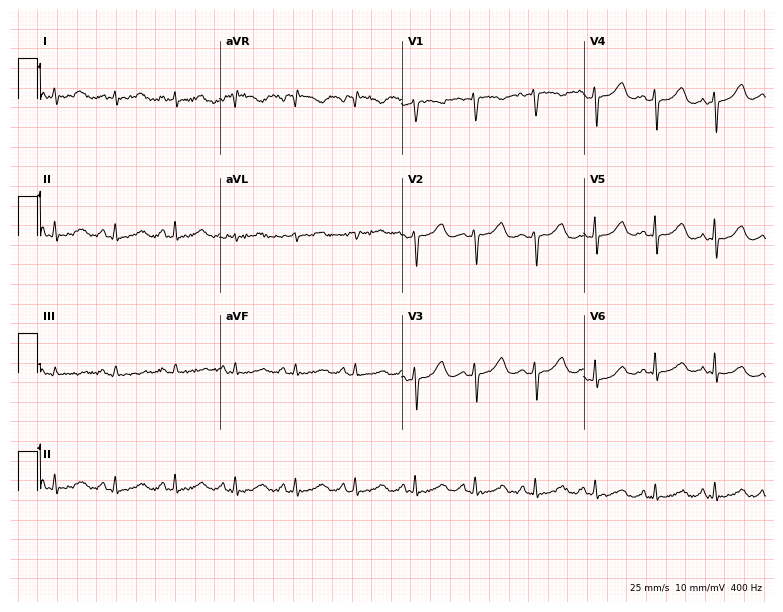
Resting 12-lead electrocardiogram (7.4-second recording at 400 Hz). Patient: a 61-year-old female. Read as a normal ECG.